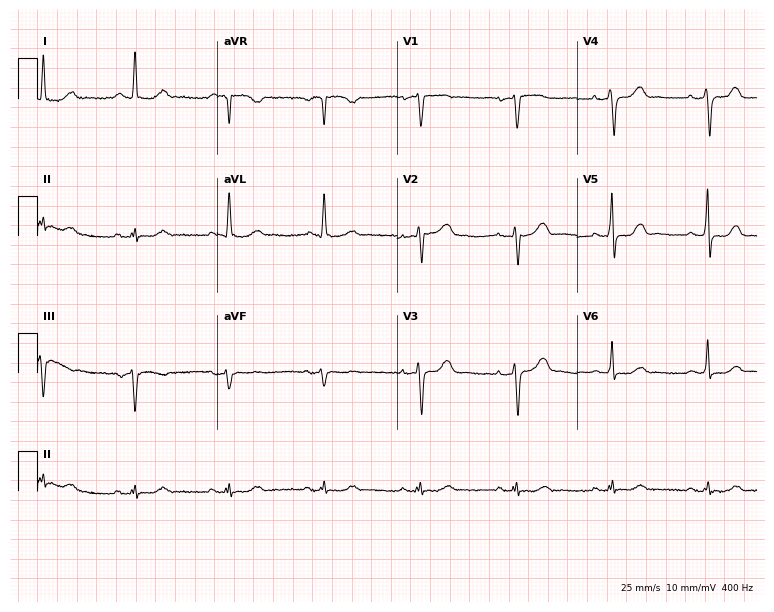
ECG — a female, 68 years old. Labelled as a normal ECG.